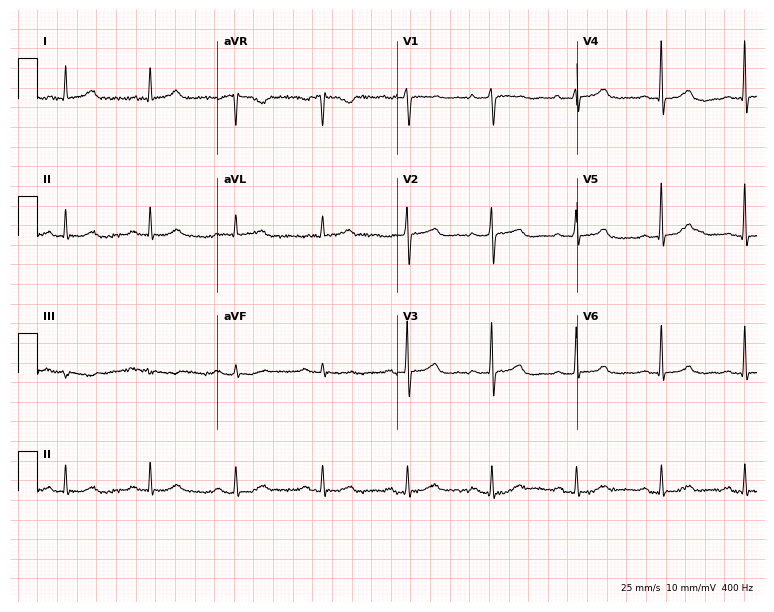
Electrocardiogram, a woman, 78 years old. Overall reading on record: normal ECG.